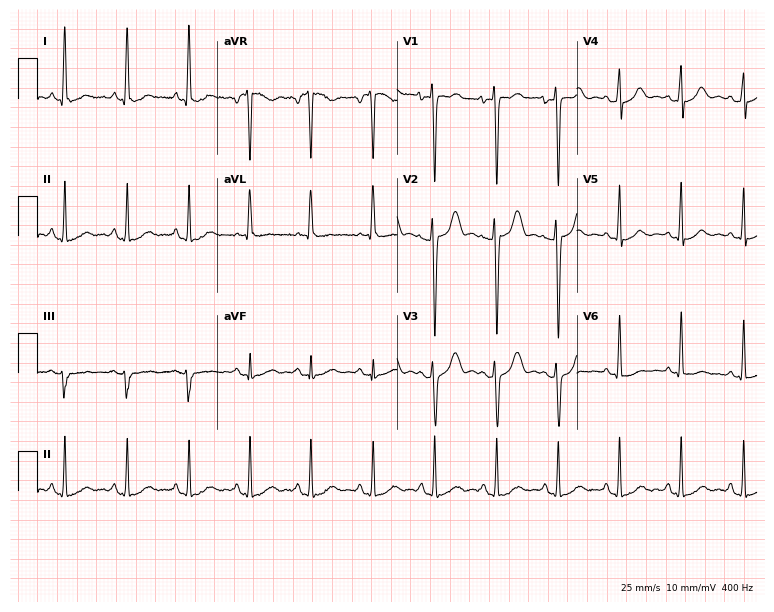
Electrocardiogram, a female, 31 years old. Of the six screened findings (first-degree AV block, right bundle branch block (RBBB), left bundle branch block (LBBB), sinus bradycardia, atrial fibrillation (AF), sinus tachycardia), none is recorded. Findings outside these six are not listed.